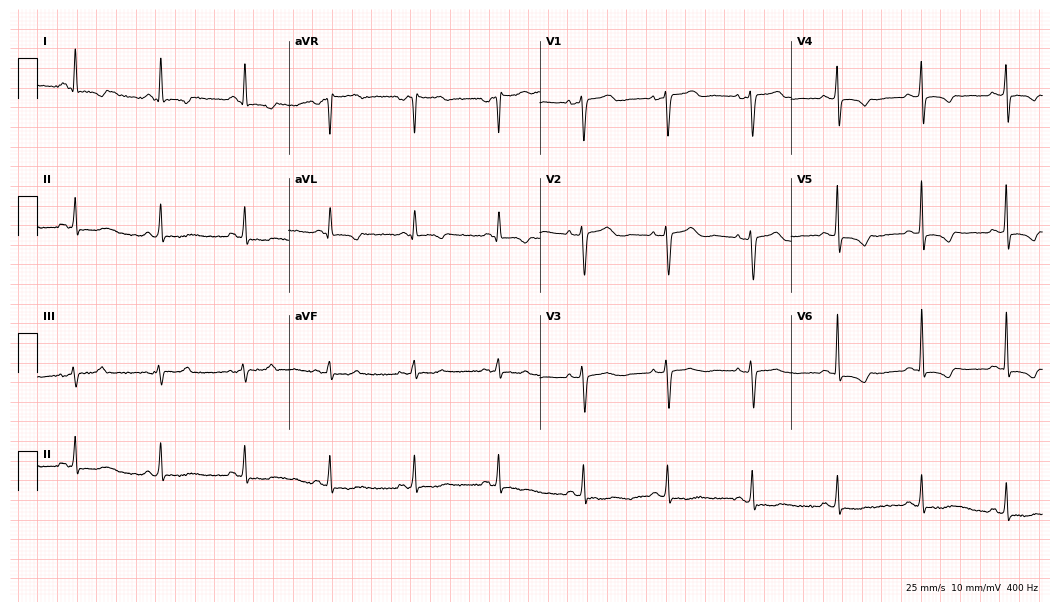
12-lead ECG from a 46-year-old female patient. No first-degree AV block, right bundle branch block (RBBB), left bundle branch block (LBBB), sinus bradycardia, atrial fibrillation (AF) or sinus tachycardia recorded for this tracing. Findings outside these six are not listed.